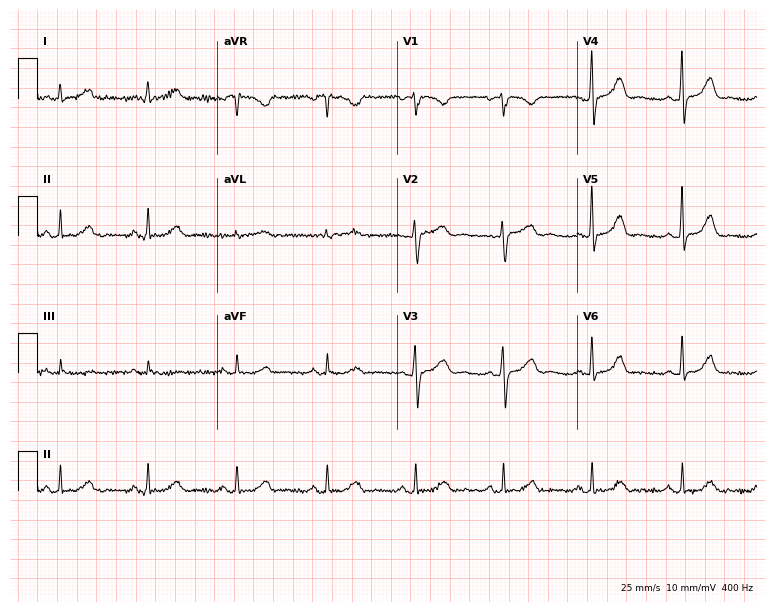
Standard 12-lead ECG recorded from a female, 62 years old (7.3-second recording at 400 Hz). Read as a normal ECG.